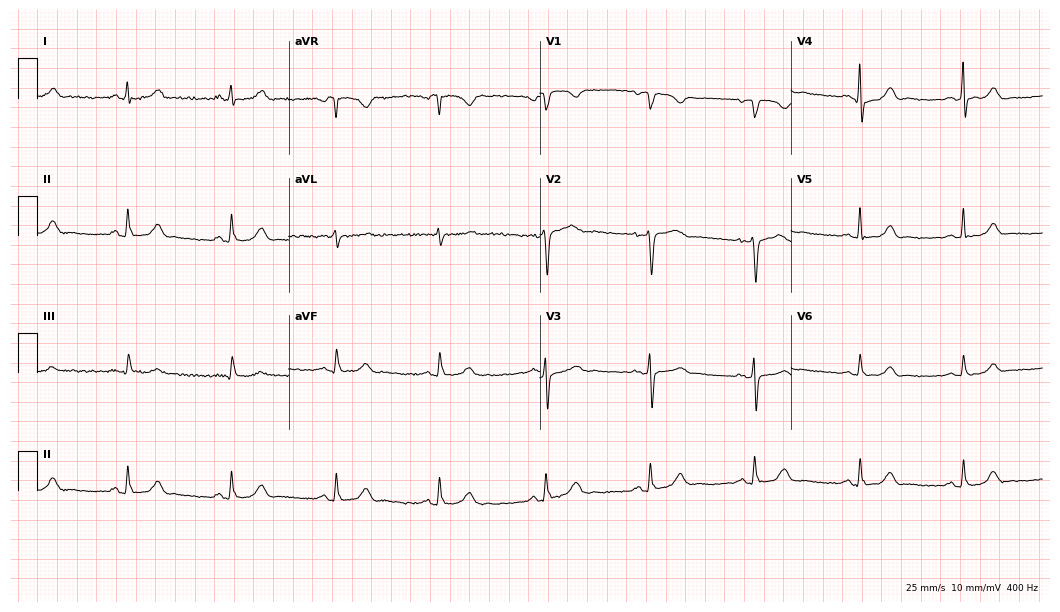
12-lead ECG from a 48-year-old female. Labelled as a normal ECG.